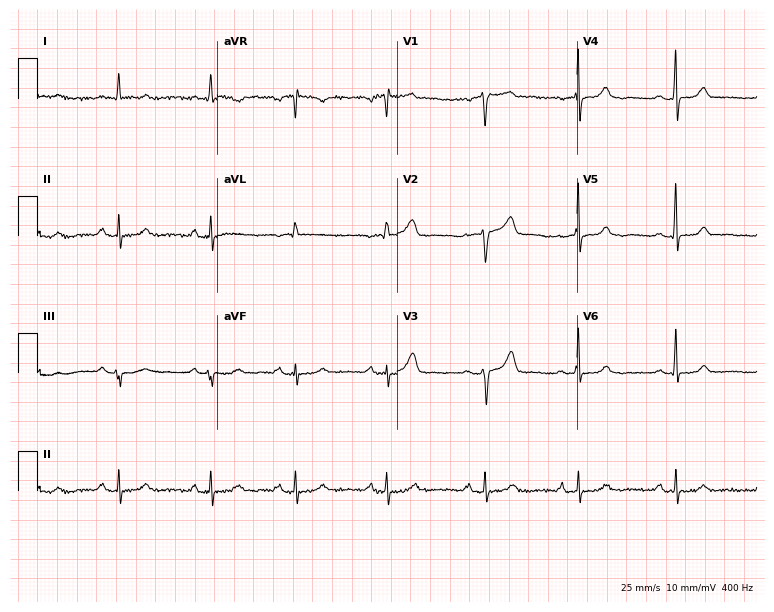
12-lead ECG (7.3-second recording at 400 Hz) from a 54-year-old female patient. Labelled as a normal ECG.